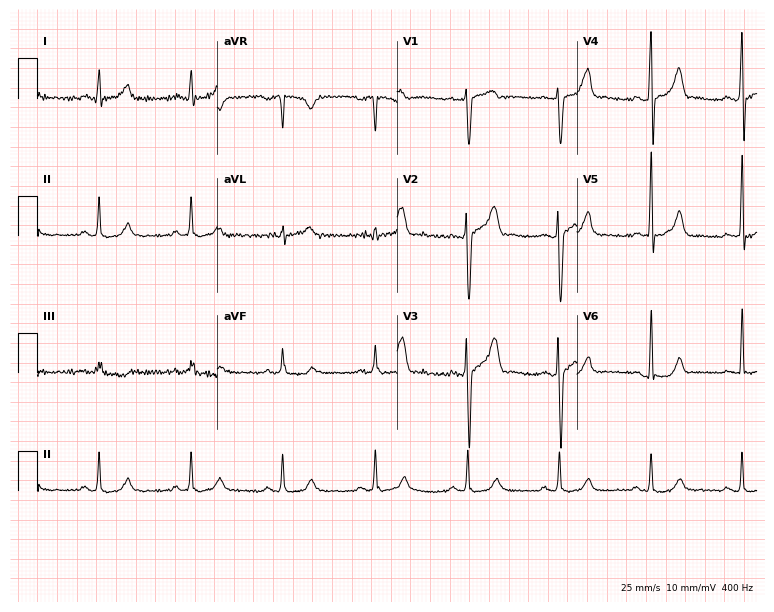
Electrocardiogram (7.3-second recording at 400 Hz), a male patient, 48 years old. Of the six screened findings (first-degree AV block, right bundle branch block, left bundle branch block, sinus bradycardia, atrial fibrillation, sinus tachycardia), none is recorded. Only these six findings were labelled.